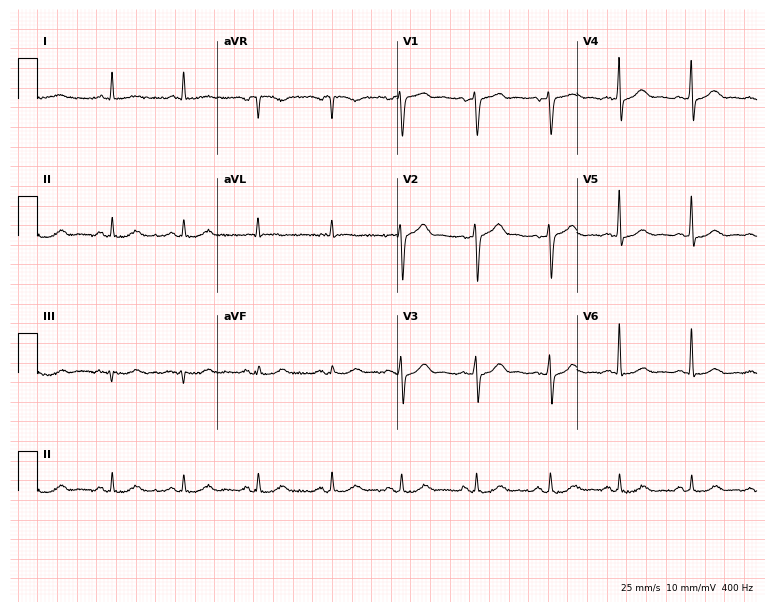
12-lead ECG (7.3-second recording at 400 Hz) from a male patient, 64 years old. Screened for six findings — first-degree AV block, right bundle branch block, left bundle branch block, sinus bradycardia, atrial fibrillation, sinus tachycardia — none is recorded.